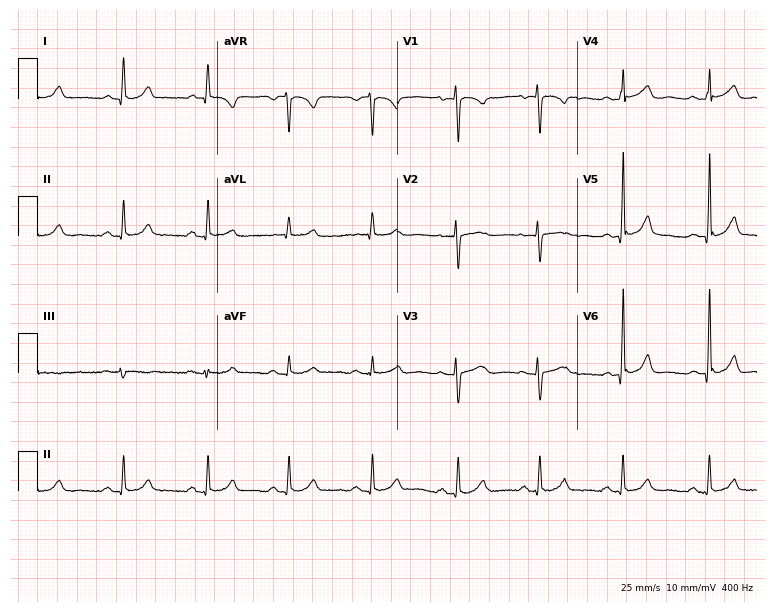
12-lead ECG from a 48-year-old female. No first-degree AV block, right bundle branch block, left bundle branch block, sinus bradycardia, atrial fibrillation or sinus tachycardia recorded for this tracing. Findings outside these six are not listed.